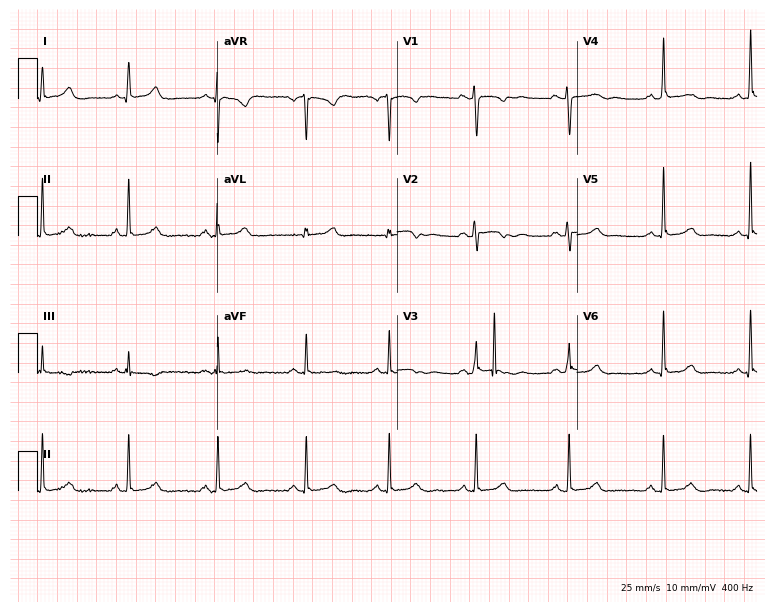
12-lead ECG from a female patient, 18 years old (7.3-second recording at 400 Hz). No first-degree AV block, right bundle branch block, left bundle branch block, sinus bradycardia, atrial fibrillation or sinus tachycardia recorded for this tracing. Other findings, if any, are not listed.